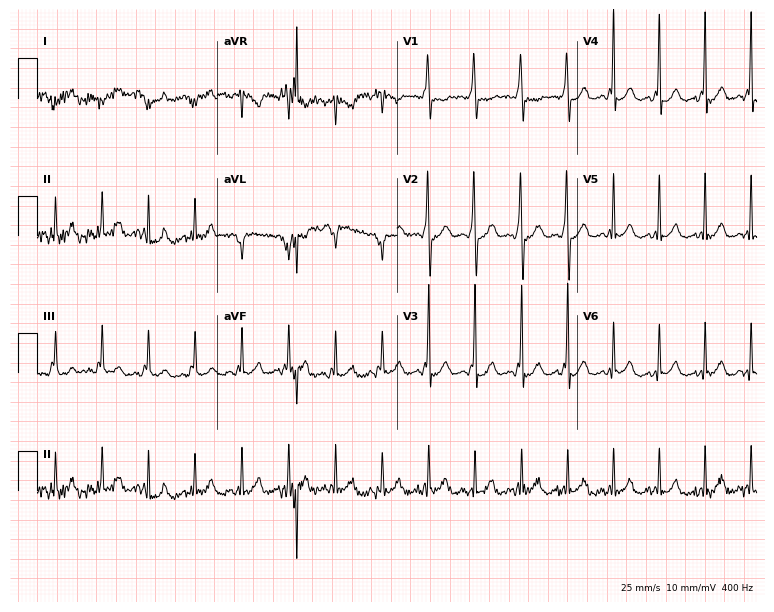
ECG — a man, 19 years old. Screened for six findings — first-degree AV block, right bundle branch block (RBBB), left bundle branch block (LBBB), sinus bradycardia, atrial fibrillation (AF), sinus tachycardia — none is recorded. Only these six findings were labelled.